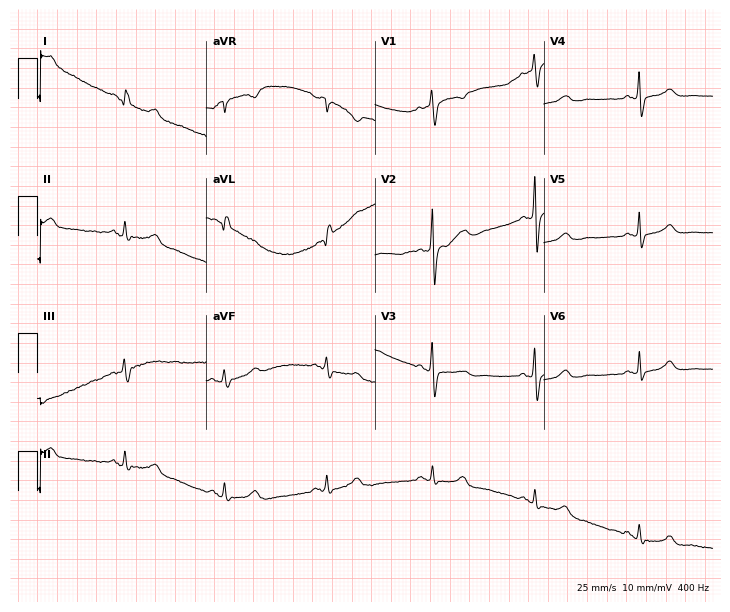
Standard 12-lead ECG recorded from a female, 37 years old. Read as a normal ECG.